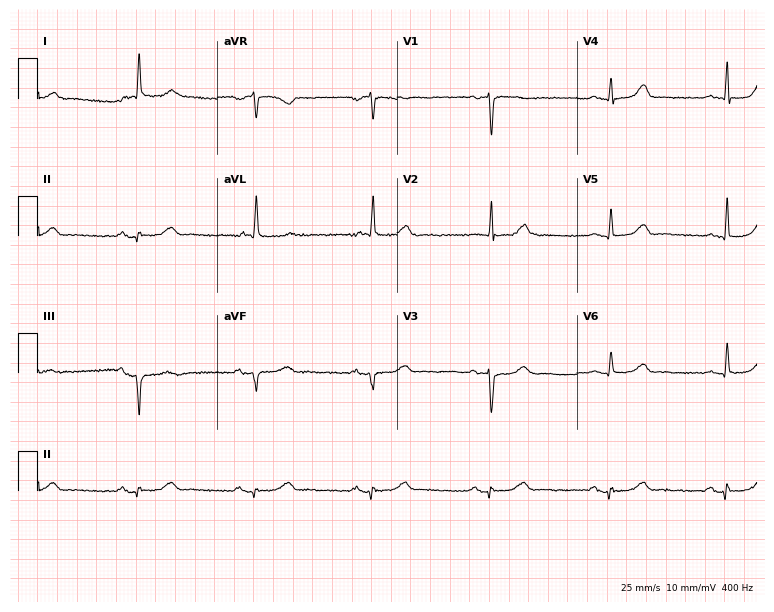
ECG (7.3-second recording at 400 Hz) — a 75-year-old female patient. Screened for six findings — first-degree AV block, right bundle branch block, left bundle branch block, sinus bradycardia, atrial fibrillation, sinus tachycardia — none is recorded. Other findings, if any, are not listed.